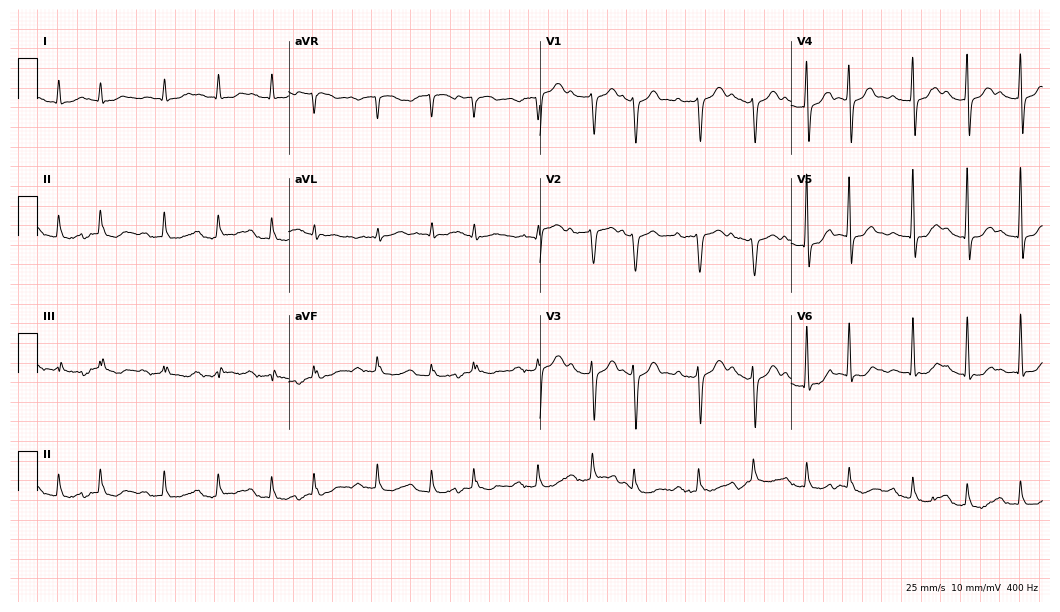
Resting 12-lead electrocardiogram. Patient: an 82-year-old male. The tracing shows first-degree AV block, sinus tachycardia (a sinus rate of 100 beats per minute or more).